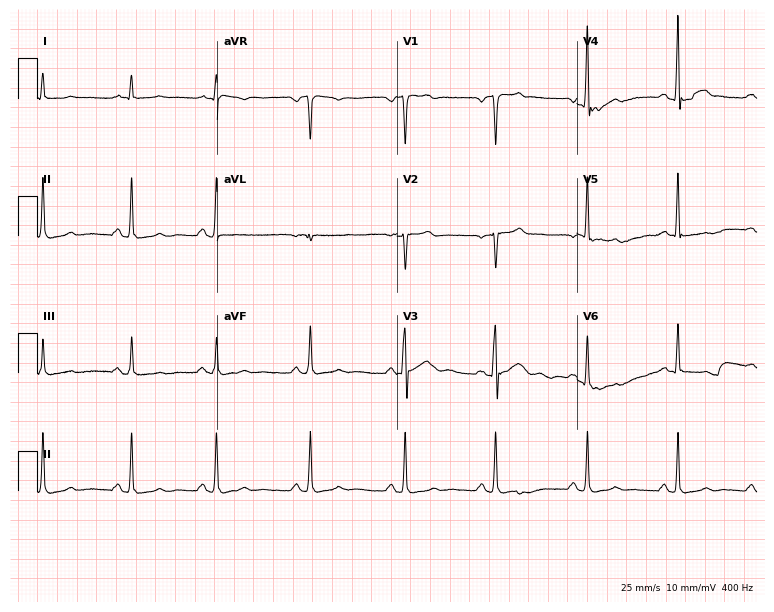
Electrocardiogram, a 34-year-old man. Overall reading on record: normal ECG.